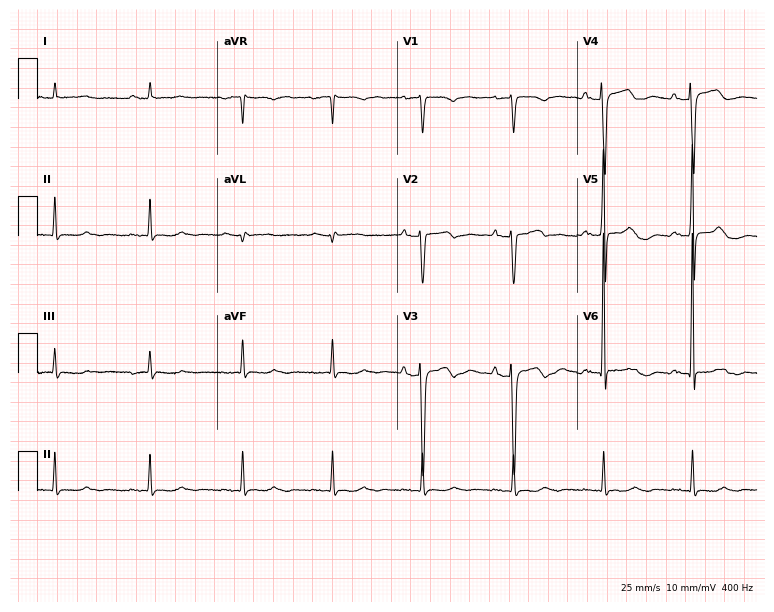
Electrocardiogram, a 72-year-old woman. Of the six screened findings (first-degree AV block, right bundle branch block, left bundle branch block, sinus bradycardia, atrial fibrillation, sinus tachycardia), none is recorded. Findings outside these six are not listed.